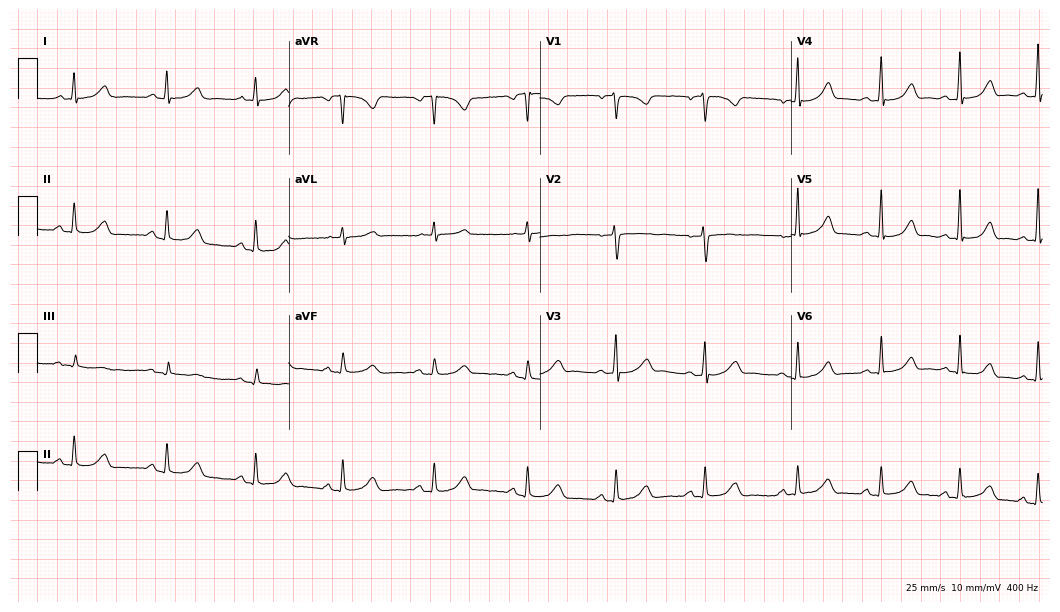
Electrocardiogram (10.2-second recording at 400 Hz), a 31-year-old female. Overall reading on record: normal ECG.